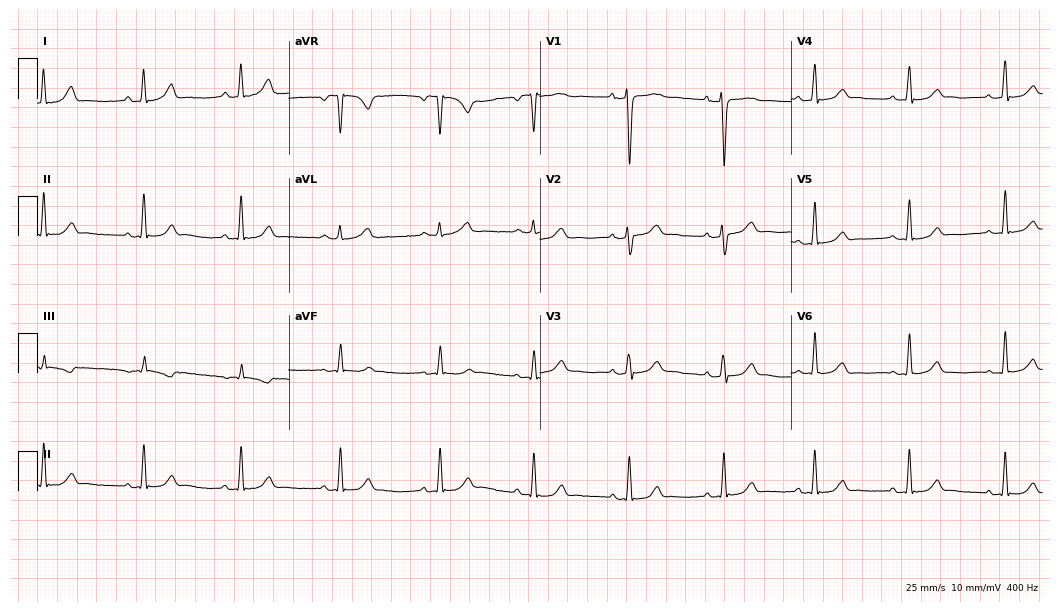
12-lead ECG from a female, 31 years old (10.2-second recording at 400 Hz). No first-degree AV block, right bundle branch block (RBBB), left bundle branch block (LBBB), sinus bradycardia, atrial fibrillation (AF) or sinus tachycardia recorded for this tracing. Other findings, if any, are not listed.